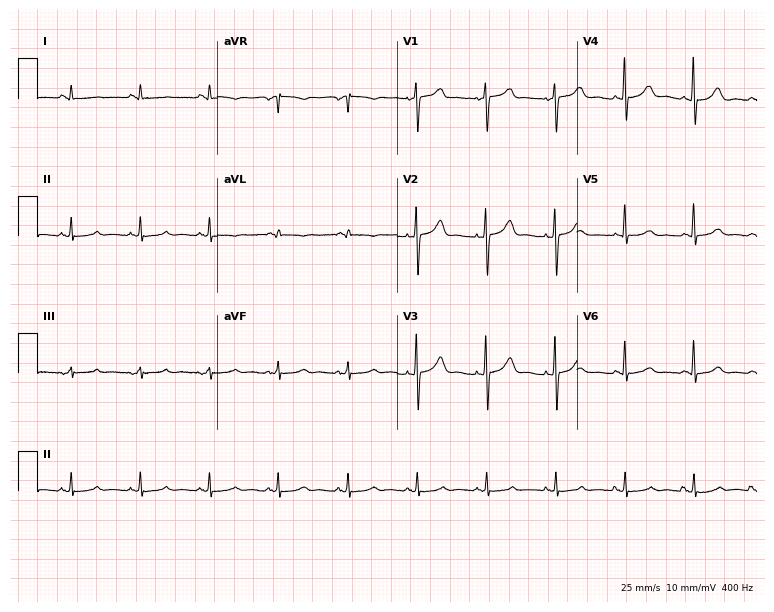
12-lead ECG (7.3-second recording at 400 Hz) from a male, 66 years old. Screened for six findings — first-degree AV block, right bundle branch block, left bundle branch block, sinus bradycardia, atrial fibrillation, sinus tachycardia — none is recorded. Findings outside these six are not listed.